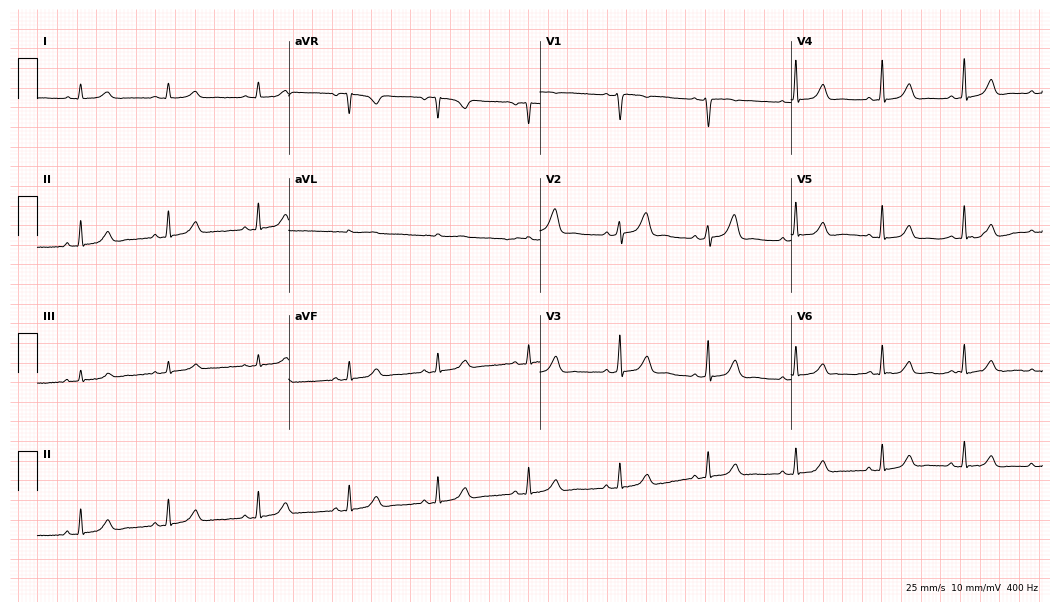
12-lead ECG from a 43-year-old female patient (10.2-second recording at 400 Hz). Recorded interpretation: within normal limits.